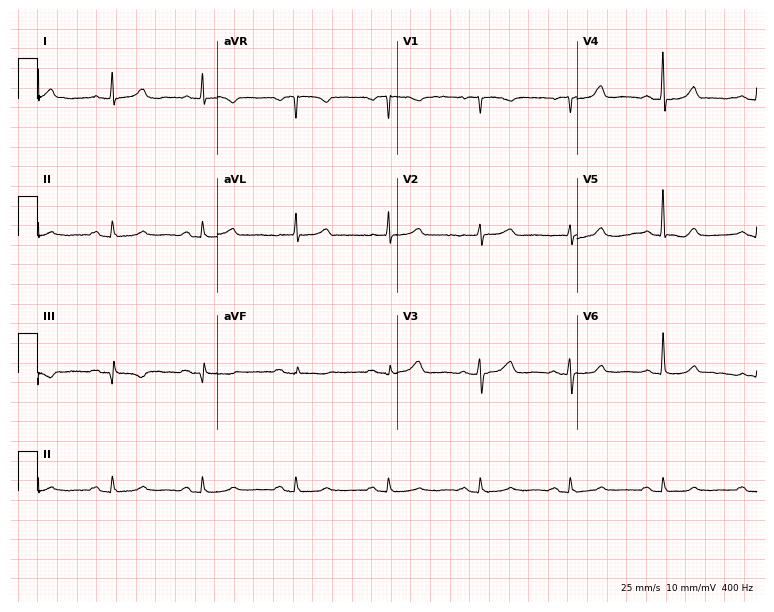
ECG — a female patient, 70 years old. Labelled as a normal ECG.